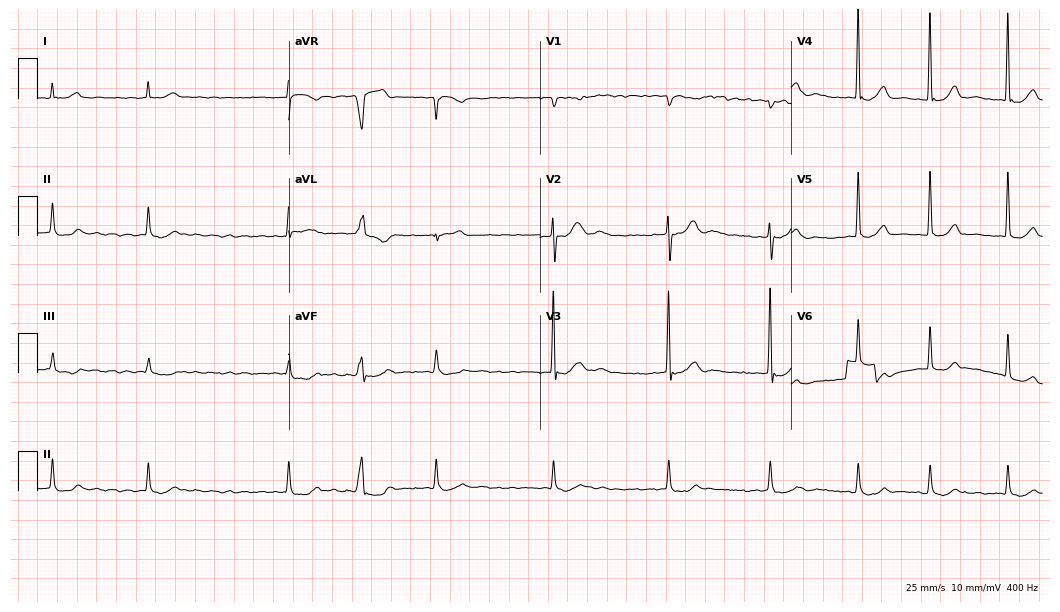
Resting 12-lead electrocardiogram (10.2-second recording at 400 Hz). Patient: a female, 85 years old. The tracing shows atrial fibrillation.